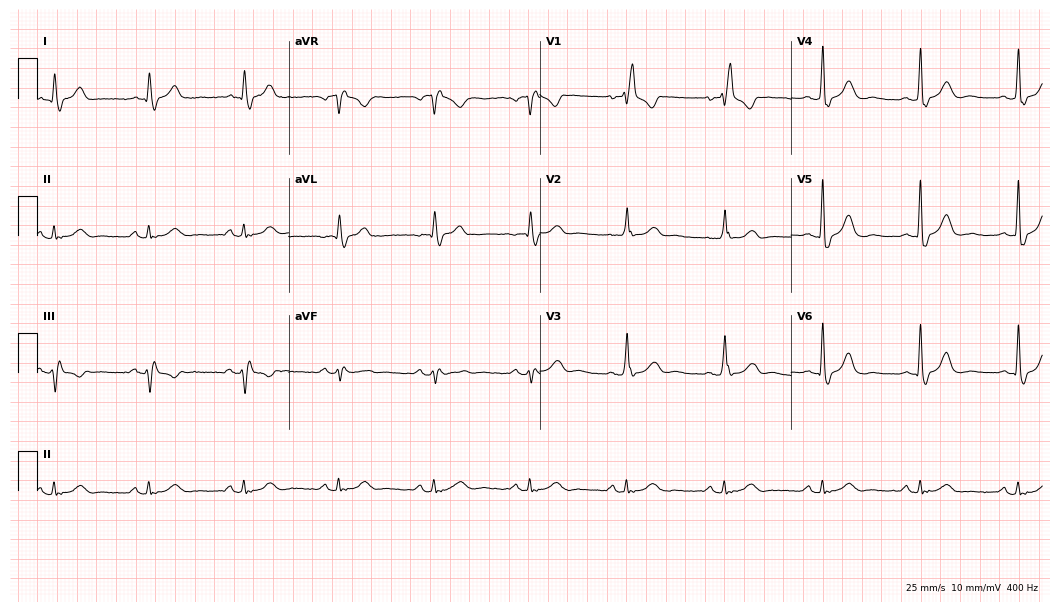
Standard 12-lead ECG recorded from a male, 84 years old. None of these six findings is recorded: first-degree AV block, right bundle branch block, left bundle branch block, sinus bradycardia, atrial fibrillation, sinus tachycardia.